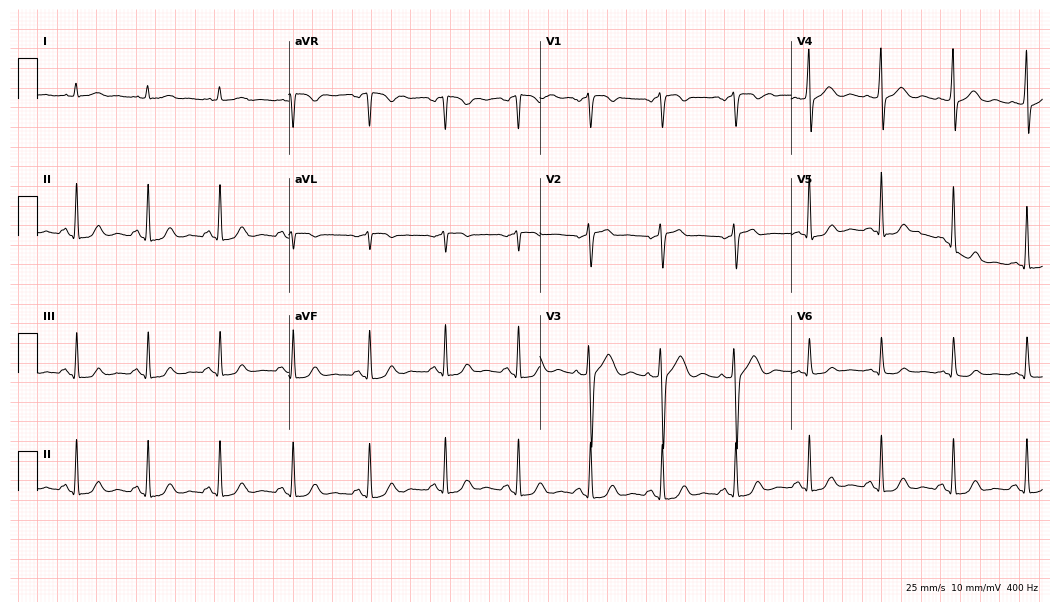
Resting 12-lead electrocardiogram. Patient: a man, 51 years old. None of these six findings is recorded: first-degree AV block, right bundle branch block, left bundle branch block, sinus bradycardia, atrial fibrillation, sinus tachycardia. Findings outside these six are not listed.